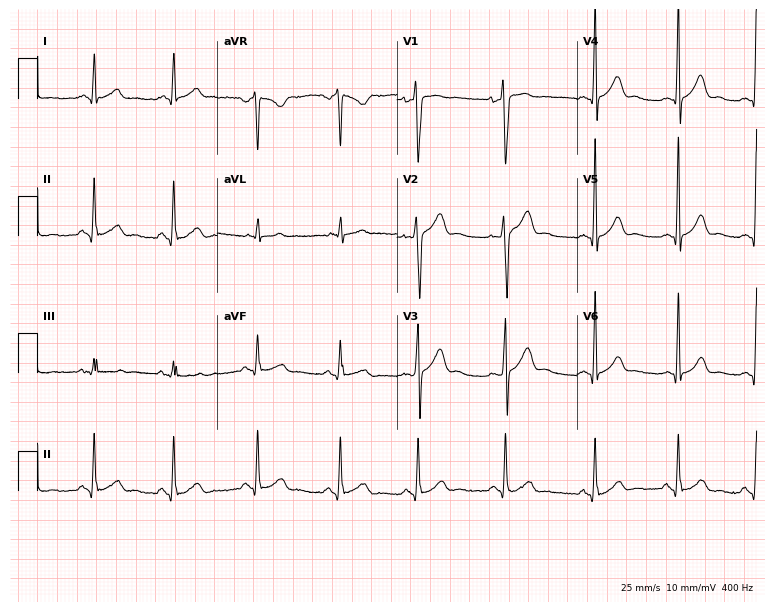
12-lead ECG from a male patient, 19 years old. Recorded interpretation: within normal limits.